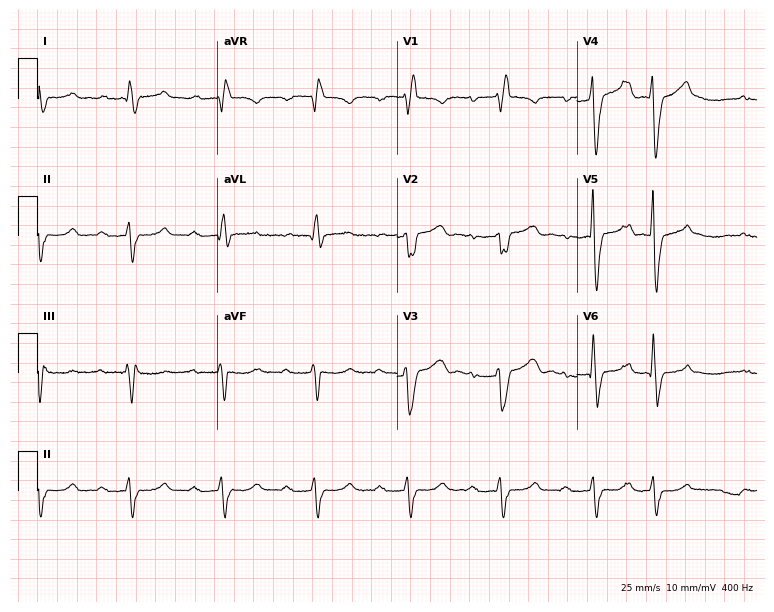
ECG — a 63-year-old male. Screened for six findings — first-degree AV block, right bundle branch block, left bundle branch block, sinus bradycardia, atrial fibrillation, sinus tachycardia — none is recorded. Findings outside these six are not listed.